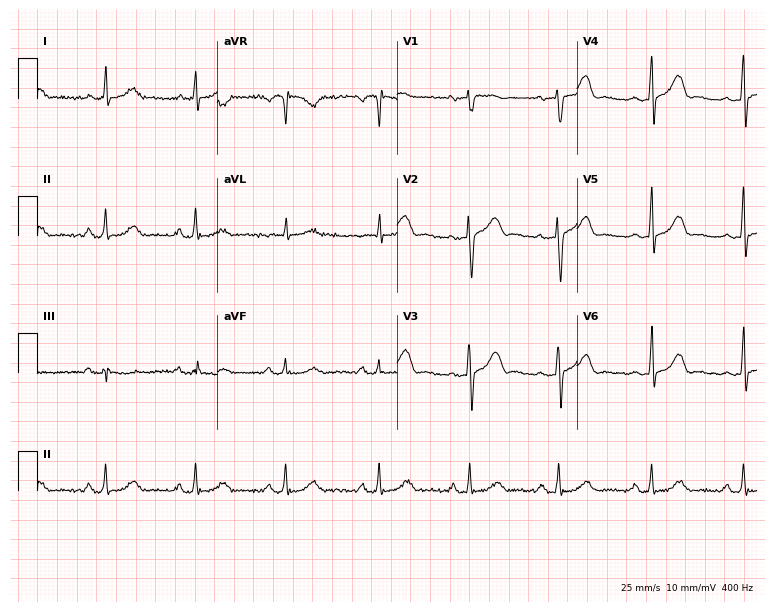
12-lead ECG from a 63-year-old female patient. Labelled as a normal ECG.